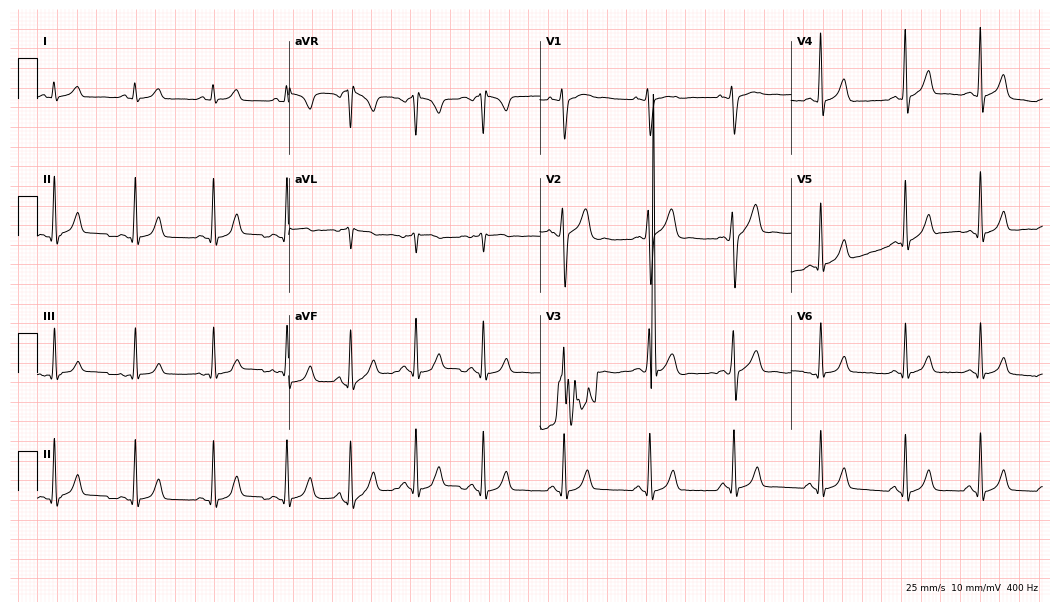
ECG (10.2-second recording at 400 Hz) — a male, 30 years old. Labelled as a normal ECG.